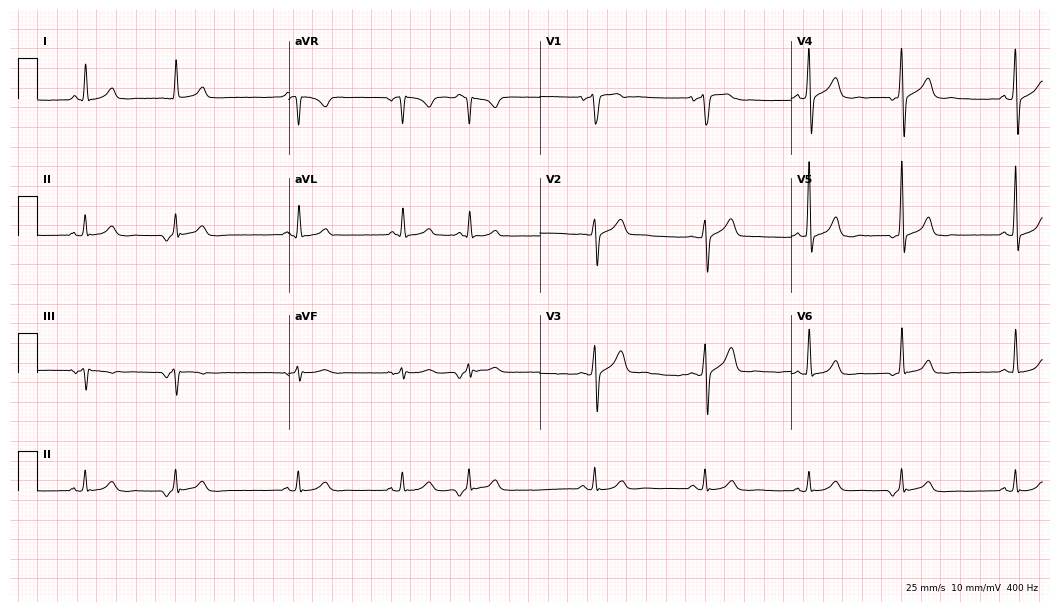
12-lead ECG from a 51-year-old man. Screened for six findings — first-degree AV block, right bundle branch block (RBBB), left bundle branch block (LBBB), sinus bradycardia, atrial fibrillation (AF), sinus tachycardia — none is recorded.